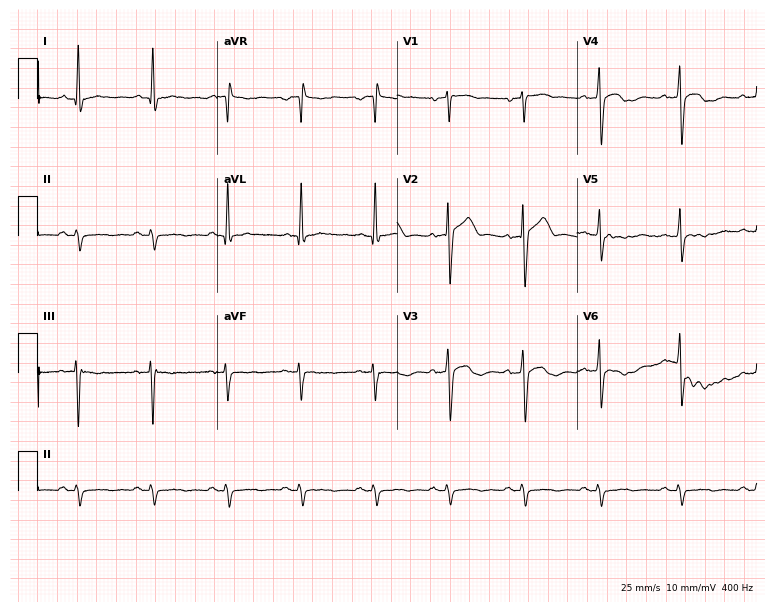
ECG — a male, 34 years old. Screened for six findings — first-degree AV block, right bundle branch block (RBBB), left bundle branch block (LBBB), sinus bradycardia, atrial fibrillation (AF), sinus tachycardia — none is recorded.